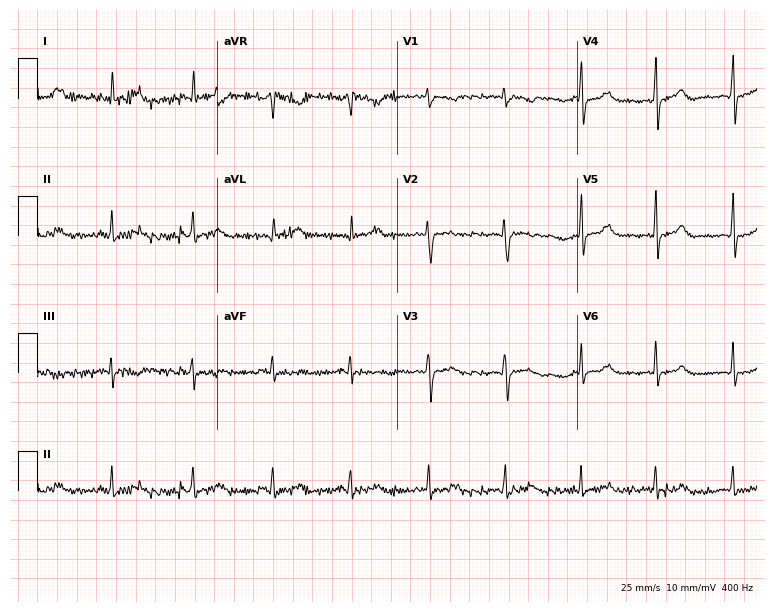
12-lead ECG from a woman, 22 years old. No first-degree AV block, right bundle branch block, left bundle branch block, sinus bradycardia, atrial fibrillation or sinus tachycardia recorded for this tracing. Findings outside these six are not listed.